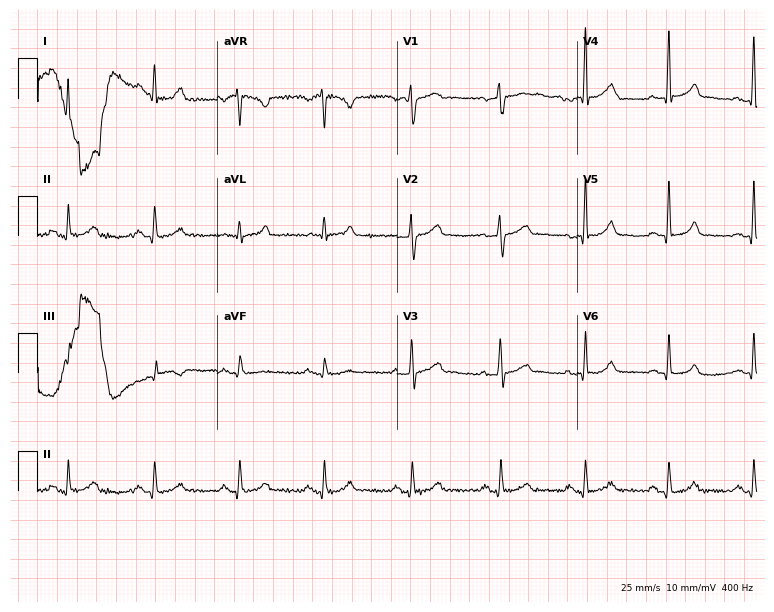
Standard 12-lead ECG recorded from a male, 55 years old. None of these six findings is recorded: first-degree AV block, right bundle branch block, left bundle branch block, sinus bradycardia, atrial fibrillation, sinus tachycardia.